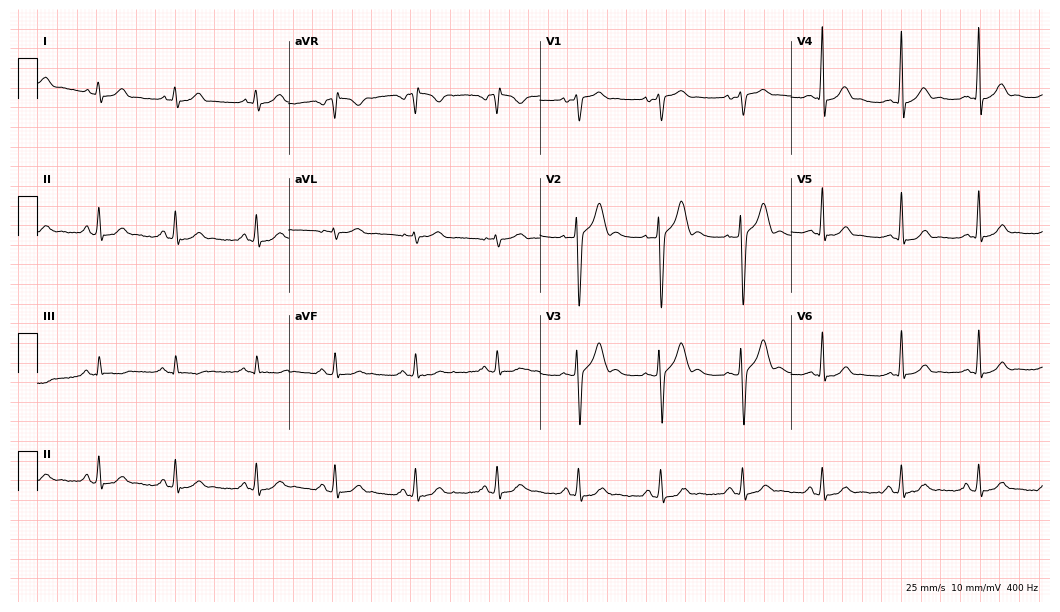
Standard 12-lead ECG recorded from a male, 22 years old. Read as a normal ECG.